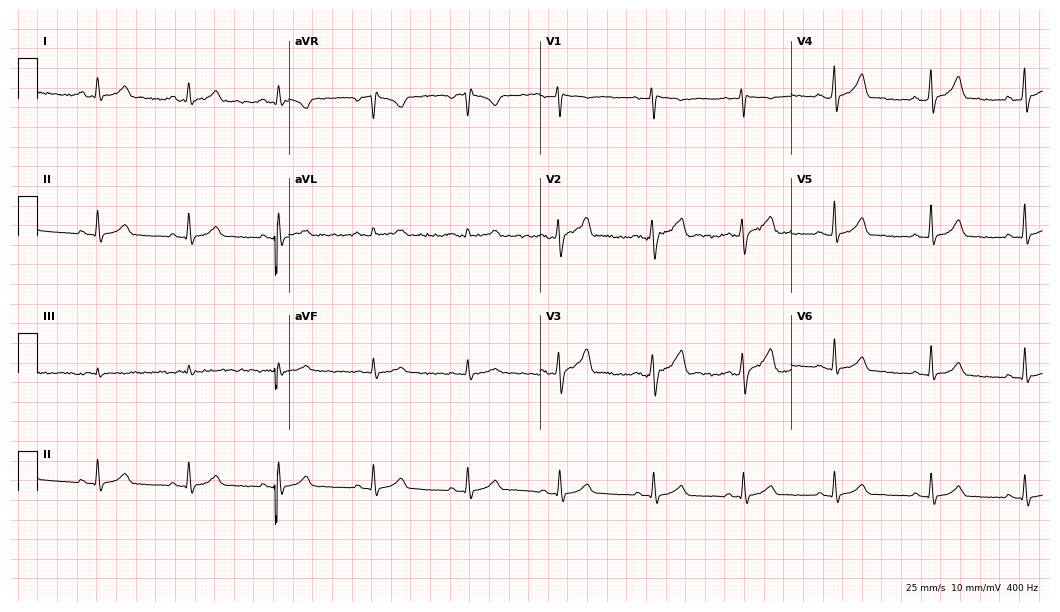
Electrocardiogram (10.2-second recording at 400 Hz), a 38-year-old female. Overall reading on record: normal ECG.